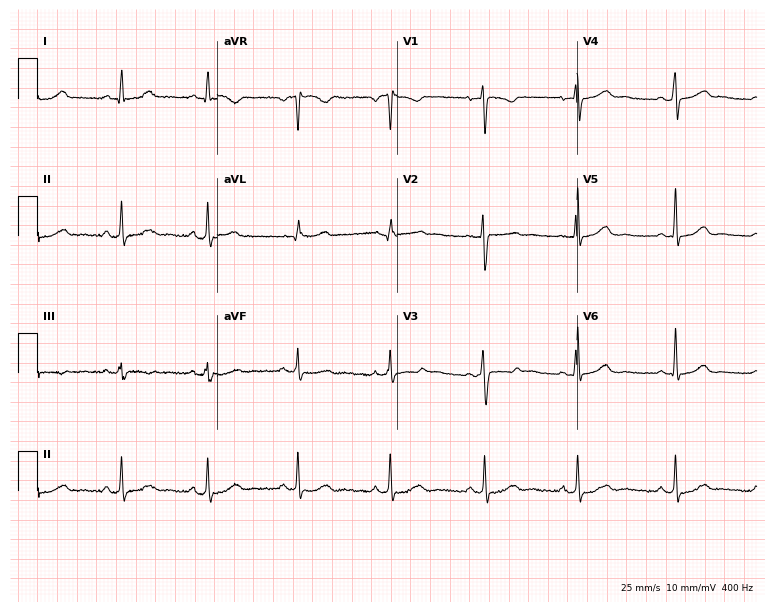
Electrocardiogram (7.3-second recording at 400 Hz), a 39-year-old woman. Overall reading on record: normal ECG.